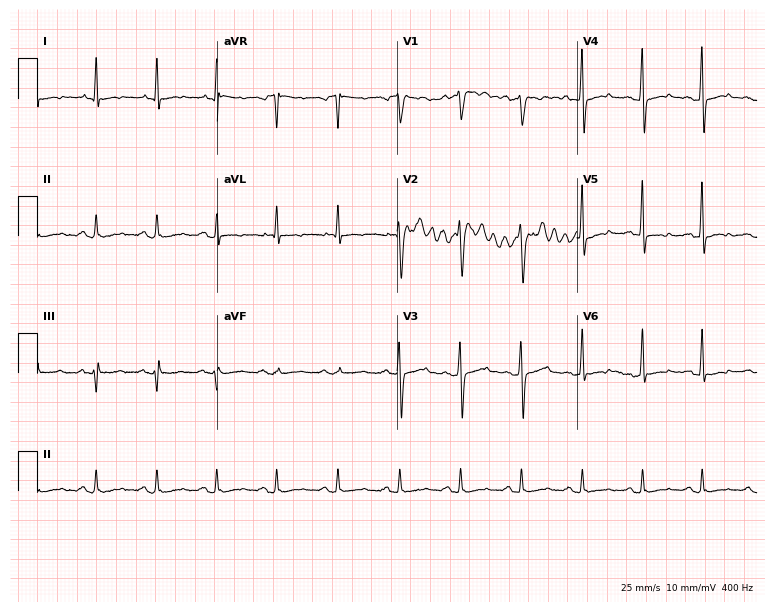
Standard 12-lead ECG recorded from a 47-year-old male (7.3-second recording at 400 Hz). None of these six findings is recorded: first-degree AV block, right bundle branch block, left bundle branch block, sinus bradycardia, atrial fibrillation, sinus tachycardia.